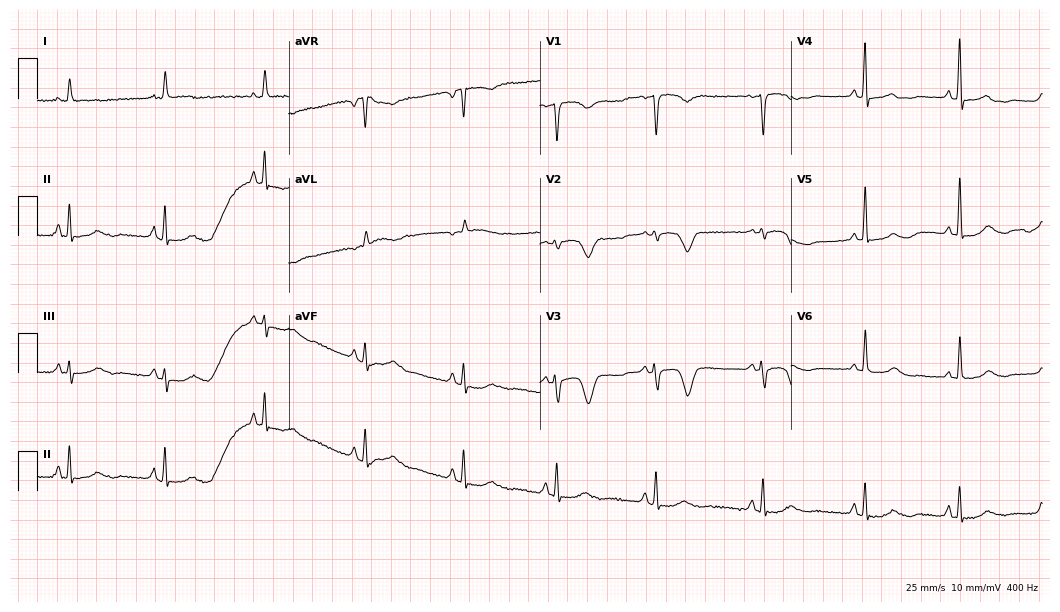
Electrocardiogram, a 72-year-old female. Of the six screened findings (first-degree AV block, right bundle branch block (RBBB), left bundle branch block (LBBB), sinus bradycardia, atrial fibrillation (AF), sinus tachycardia), none is recorded. Other findings, if any, are not listed.